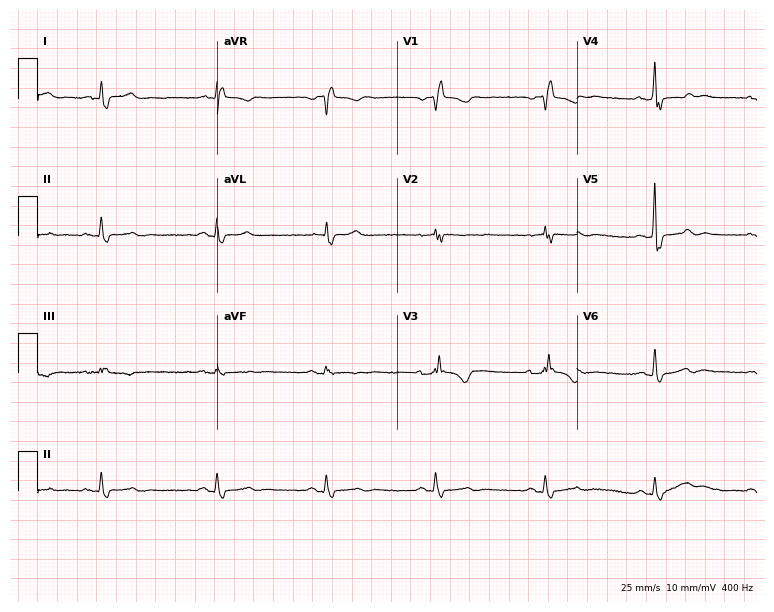
Standard 12-lead ECG recorded from a male patient, 79 years old (7.3-second recording at 400 Hz). The tracing shows right bundle branch block.